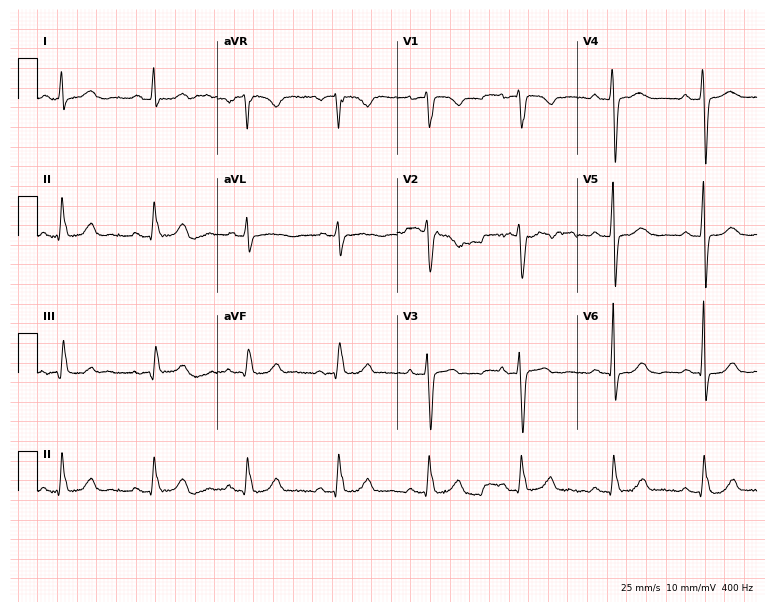
12-lead ECG from a 65-year-old female patient. No first-degree AV block, right bundle branch block, left bundle branch block, sinus bradycardia, atrial fibrillation or sinus tachycardia recorded for this tracing. Other findings, if any, are not listed.